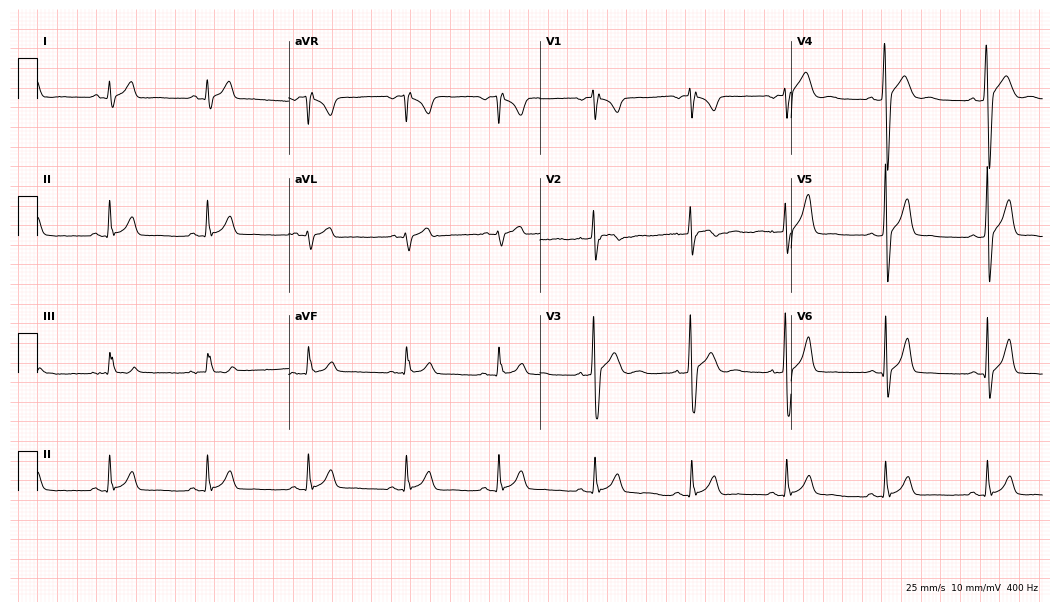
Electrocardiogram, a man, 24 years old. Of the six screened findings (first-degree AV block, right bundle branch block (RBBB), left bundle branch block (LBBB), sinus bradycardia, atrial fibrillation (AF), sinus tachycardia), none is recorded. Findings outside these six are not listed.